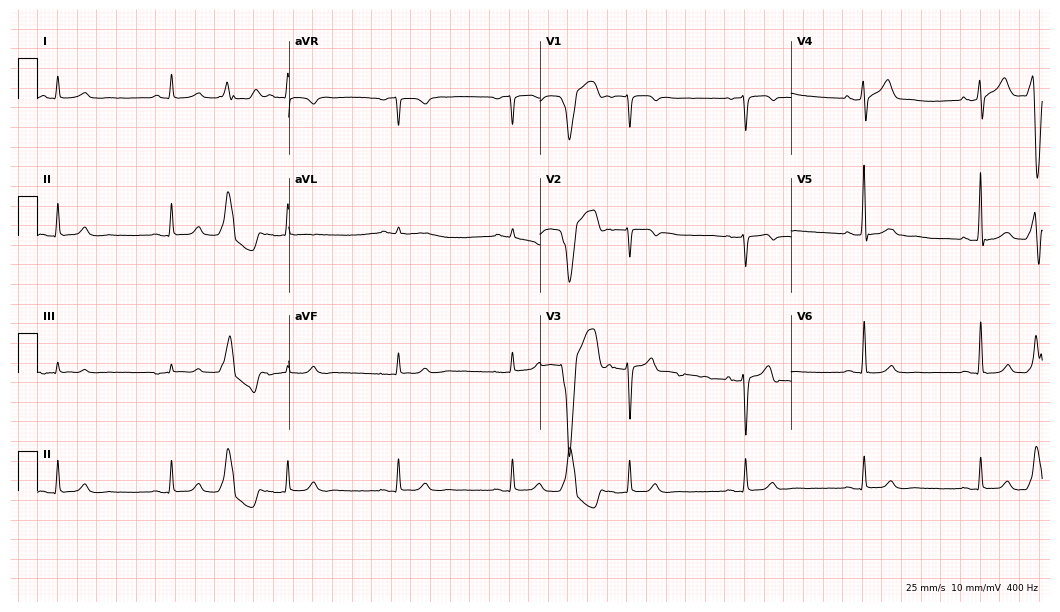
Electrocardiogram, a male patient, 54 years old. Of the six screened findings (first-degree AV block, right bundle branch block, left bundle branch block, sinus bradycardia, atrial fibrillation, sinus tachycardia), none is recorded.